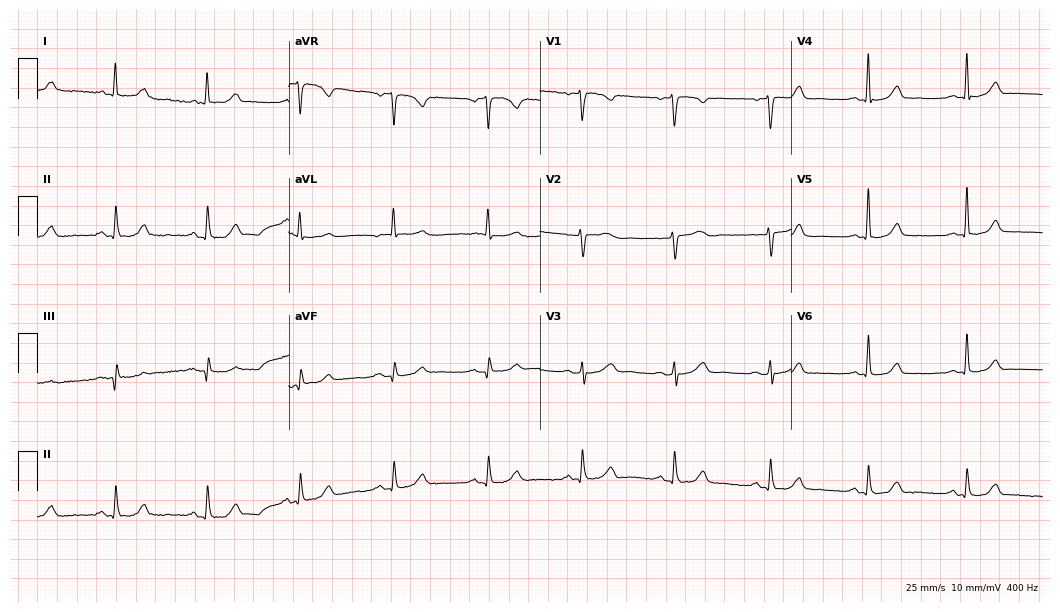
ECG — a 66-year-old woman. Labelled as a normal ECG.